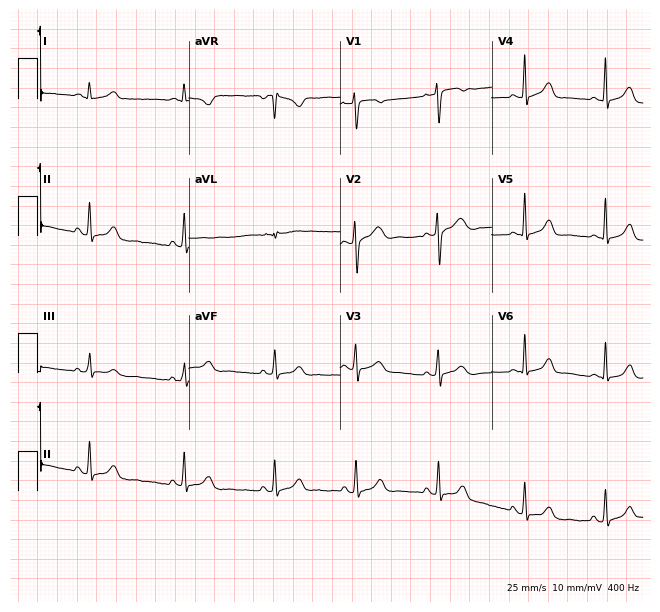
Electrocardiogram (6.2-second recording at 400 Hz), a female, 27 years old. Of the six screened findings (first-degree AV block, right bundle branch block, left bundle branch block, sinus bradycardia, atrial fibrillation, sinus tachycardia), none is recorded. Other findings, if any, are not listed.